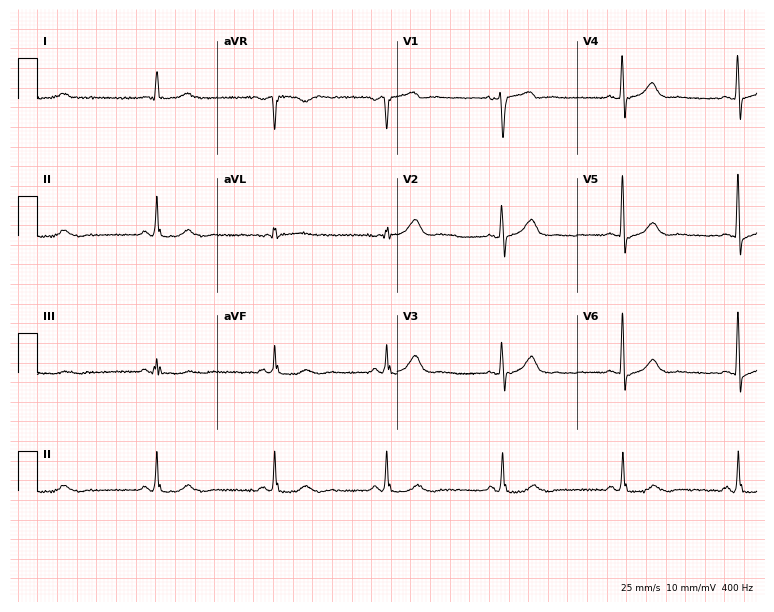
12-lead ECG from a 63-year-old man (7.3-second recording at 400 Hz). Recorded interpretation: within normal limits.